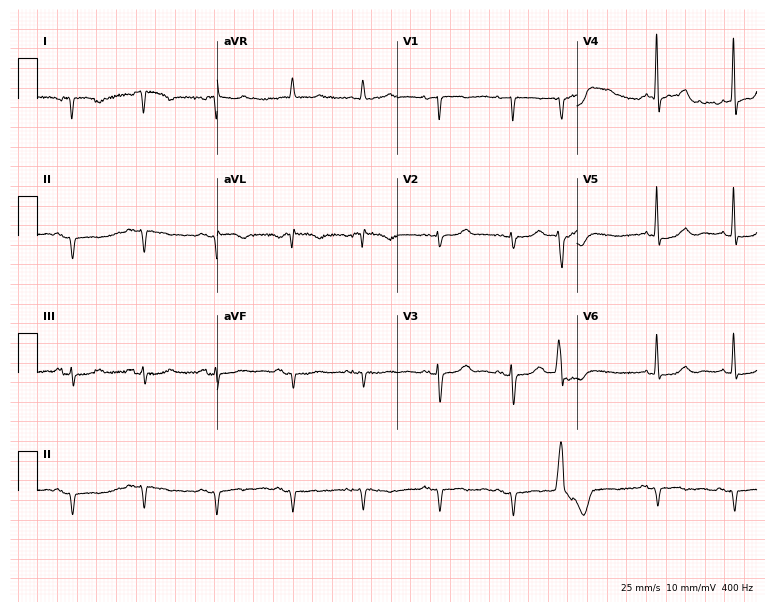
12-lead ECG from an 87-year-old female patient. No first-degree AV block, right bundle branch block (RBBB), left bundle branch block (LBBB), sinus bradycardia, atrial fibrillation (AF) or sinus tachycardia recorded for this tracing. Only these six findings were labelled.